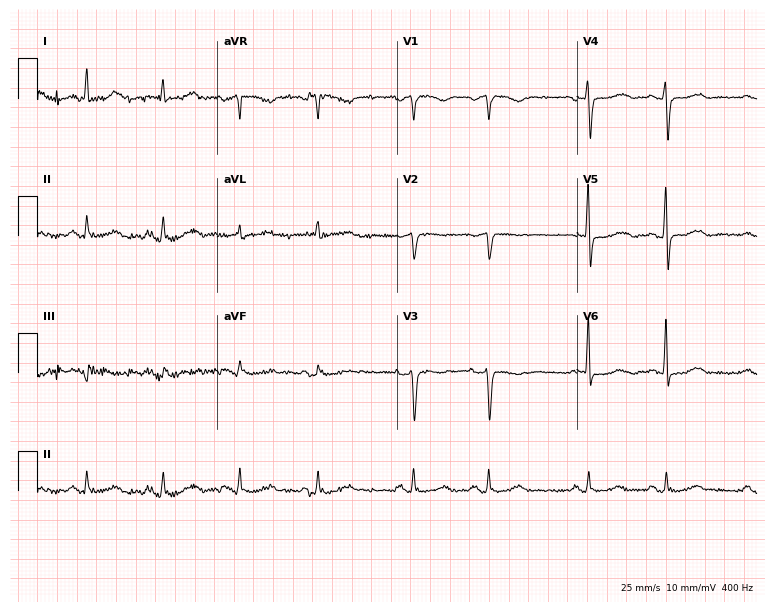
Resting 12-lead electrocardiogram (7.3-second recording at 400 Hz). Patient: a 75-year-old female. None of these six findings is recorded: first-degree AV block, right bundle branch block, left bundle branch block, sinus bradycardia, atrial fibrillation, sinus tachycardia.